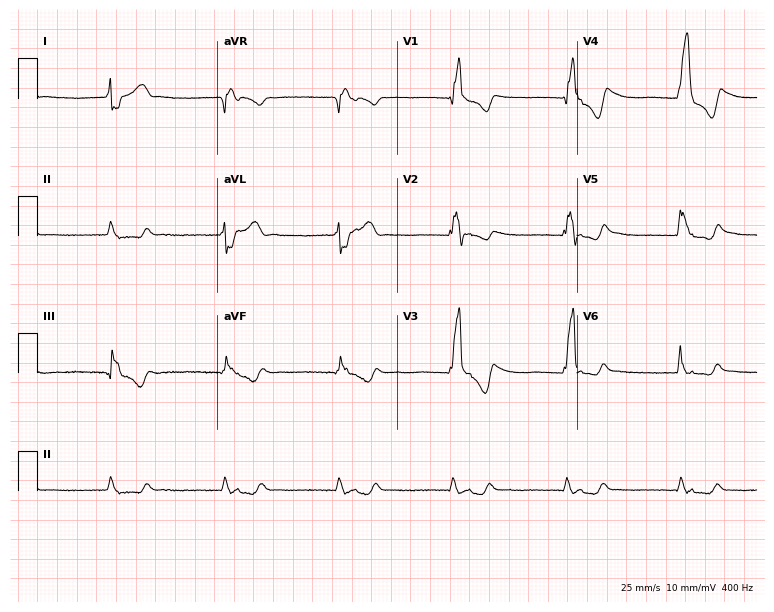
Standard 12-lead ECG recorded from a 32-year-old female. None of these six findings is recorded: first-degree AV block, right bundle branch block (RBBB), left bundle branch block (LBBB), sinus bradycardia, atrial fibrillation (AF), sinus tachycardia. Other findings, if any, are not listed.